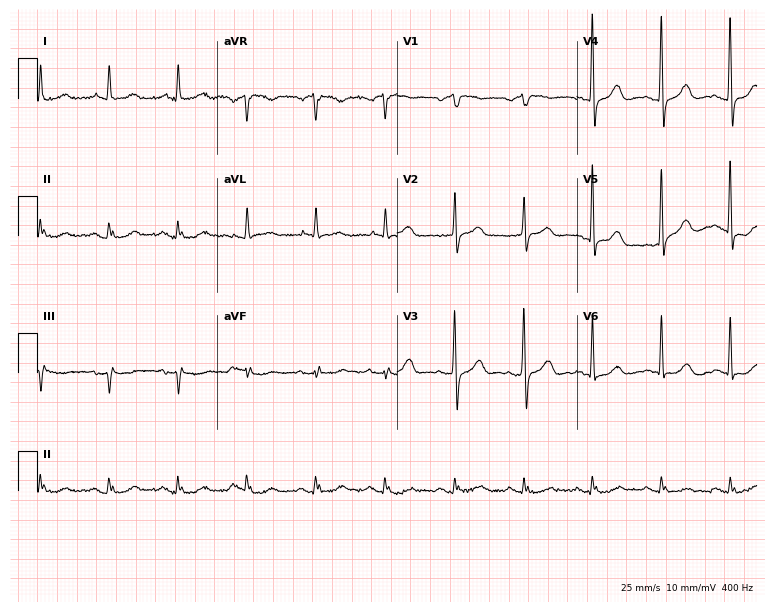
12-lead ECG (7.3-second recording at 400 Hz) from a male, 79 years old. Screened for six findings — first-degree AV block, right bundle branch block, left bundle branch block, sinus bradycardia, atrial fibrillation, sinus tachycardia — none is recorded.